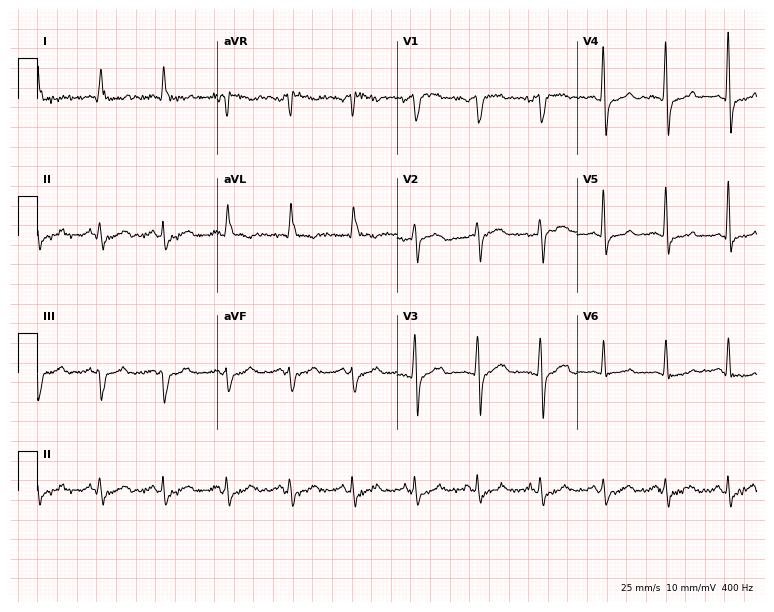
Electrocardiogram, a man, 74 years old. Of the six screened findings (first-degree AV block, right bundle branch block, left bundle branch block, sinus bradycardia, atrial fibrillation, sinus tachycardia), none is recorded. Only these six findings were labelled.